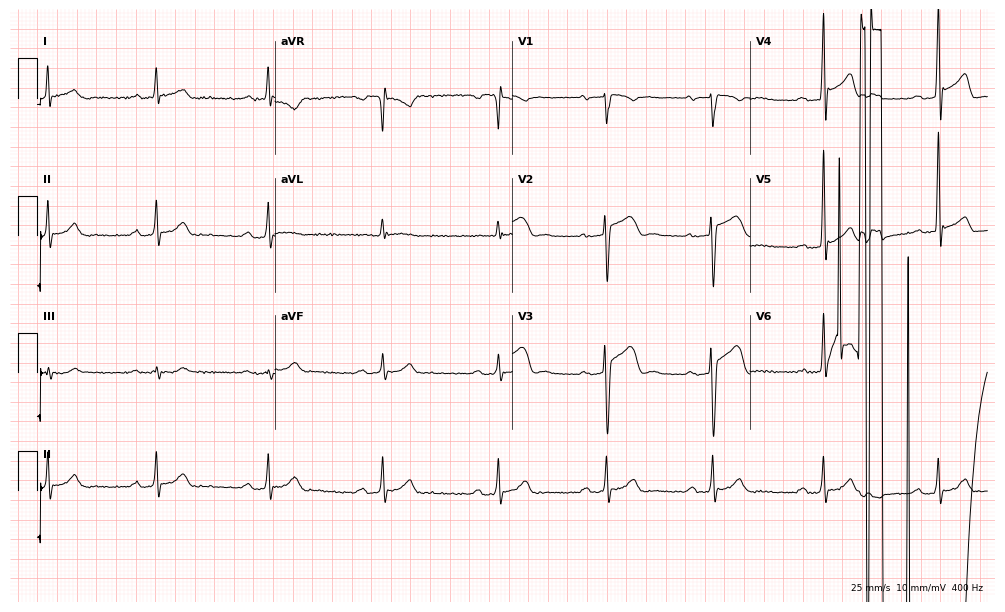
Standard 12-lead ECG recorded from a 49-year-old male. None of these six findings is recorded: first-degree AV block, right bundle branch block, left bundle branch block, sinus bradycardia, atrial fibrillation, sinus tachycardia. Other findings, if any, are not listed.